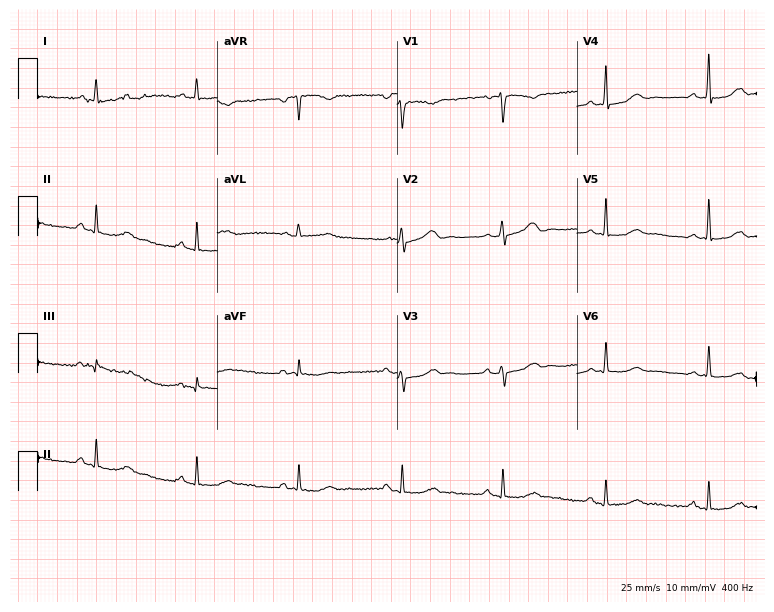
ECG — a female patient, 69 years old. Screened for six findings — first-degree AV block, right bundle branch block, left bundle branch block, sinus bradycardia, atrial fibrillation, sinus tachycardia — none is recorded.